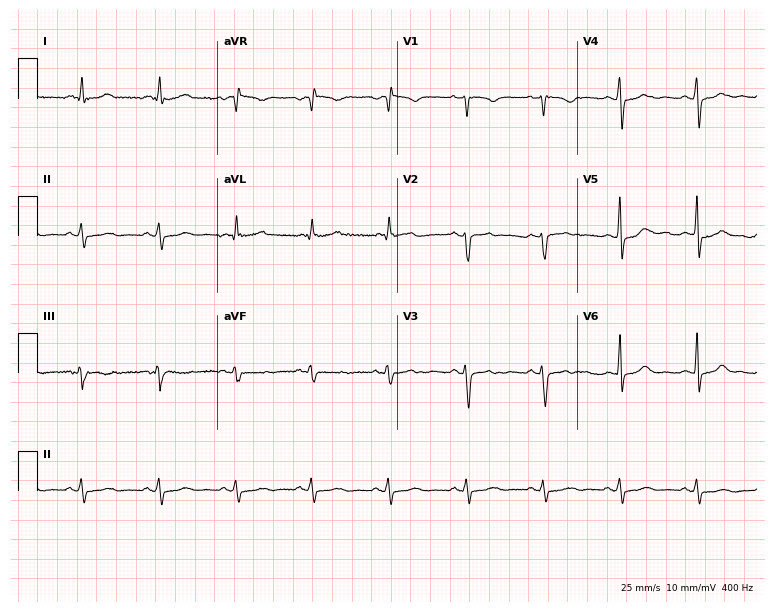
Resting 12-lead electrocardiogram (7.3-second recording at 400 Hz). Patient: a woman, 49 years old. None of these six findings is recorded: first-degree AV block, right bundle branch block, left bundle branch block, sinus bradycardia, atrial fibrillation, sinus tachycardia. Other findings, if any, are not listed.